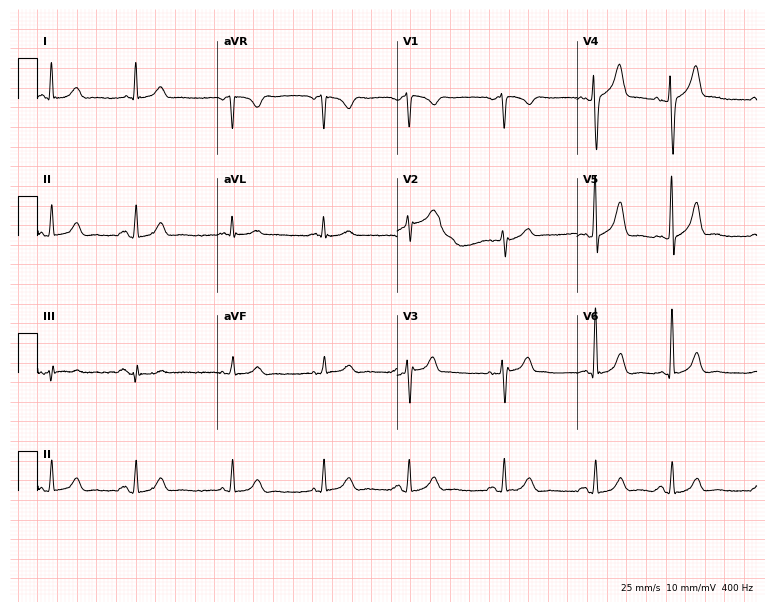
Standard 12-lead ECG recorded from a 71-year-old male patient (7.3-second recording at 400 Hz). Read as a normal ECG.